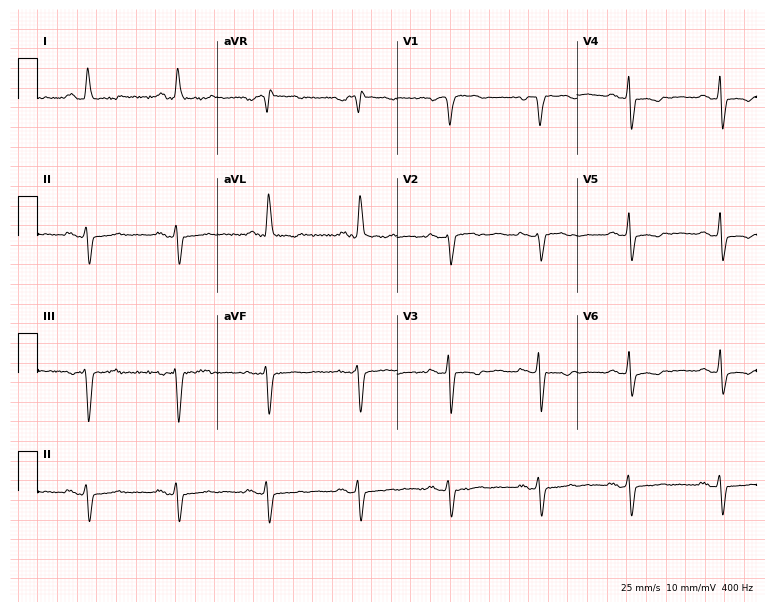
Resting 12-lead electrocardiogram (7.3-second recording at 400 Hz). Patient: a 72-year-old man. None of these six findings is recorded: first-degree AV block, right bundle branch block, left bundle branch block, sinus bradycardia, atrial fibrillation, sinus tachycardia.